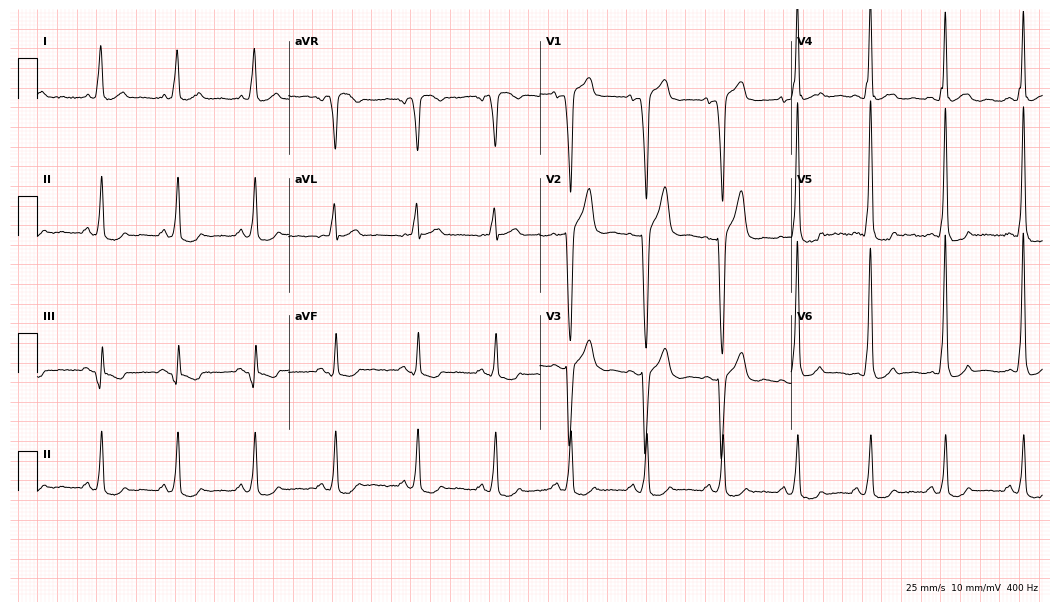
12-lead ECG from a 47-year-old male. No first-degree AV block, right bundle branch block, left bundle branch block, sinus bradycardia, atrial fibrillation or sinus tachycardia recorded for this tracing.